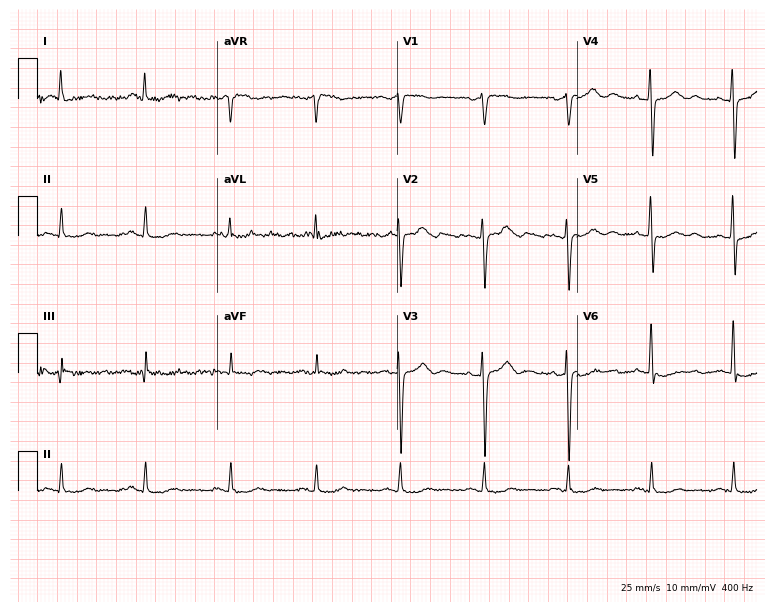
Standard 12-lead ECG recorded from a 71-year-old man (7.3-second recording at 400 Hz). None of these six findings is recorded: first-degree AV block, right bundle branch block, left bundle branch block, sinus bradycardia, atrial fibrillation, sinus tachycardia. Other findings, if any, are not listed.